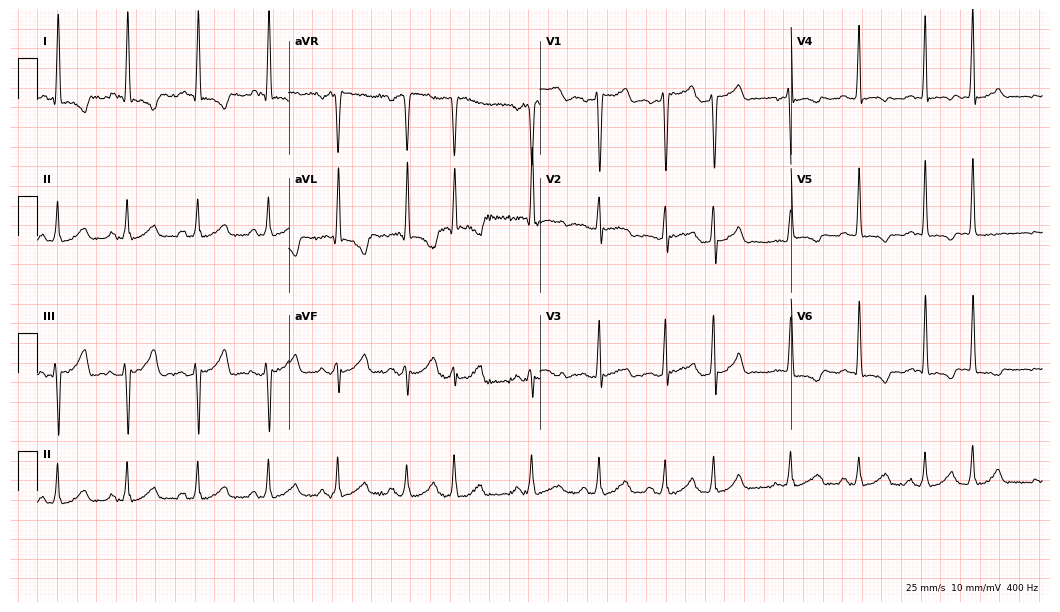
Resting 12-lead electrocardiogram. Patient: a 54-year-old female. None of these six findings is recorded: first-degree AV block, right bundle branch block, left bundle branch block, sinus bradycardia, atrial fibrillation, sinus tachycardia. Findings outside these six are not listed.